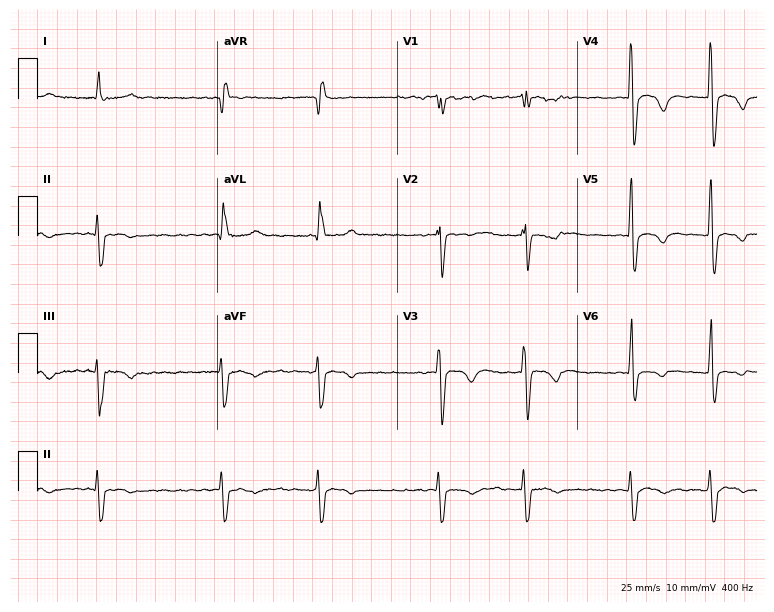
12-lead ECG from a 66-year-old female patient. Findings include atrial fibrillation.